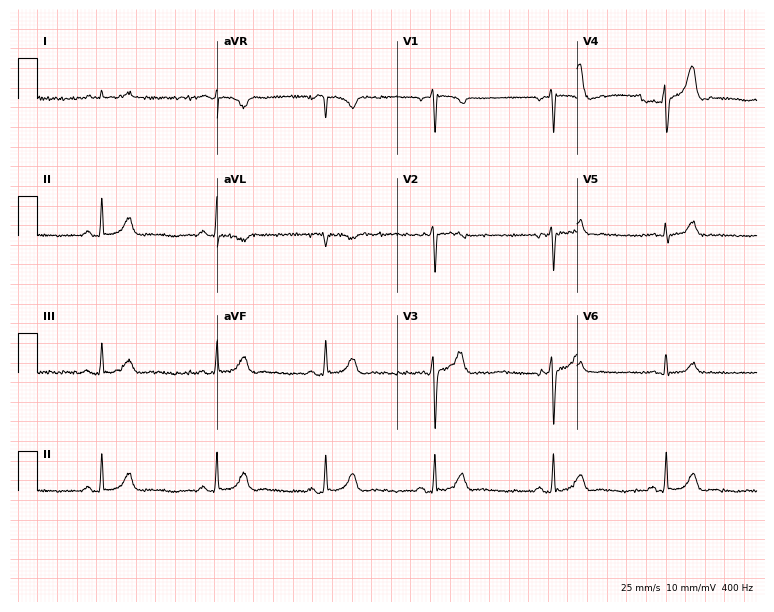
12-lead ECG from a man, 45 years old (7.3-second recording at 400 Hz). No first-degree AV block, right bundle branch block, left bundle branch block, sinus bradycardia, atrial fibrillation or sinus tachycardia recorded for this tracing. Other findings, if any, are not listed.